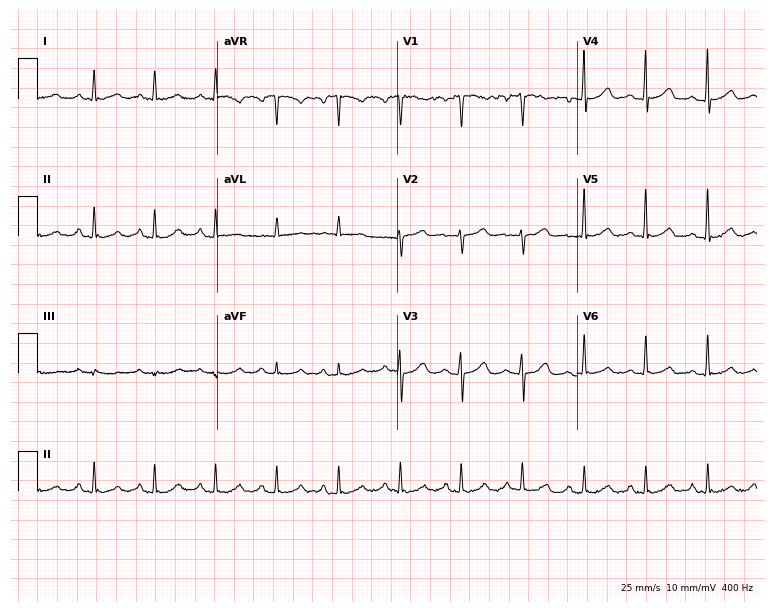
Electrocardiogram, a 50-year-old woman. Of the six screened findings (first-degree AV block, right bundle branch block, left bundle branch block, sinus bradycardia, atrial fibrillation, sinus tachycardia), none is recorded.